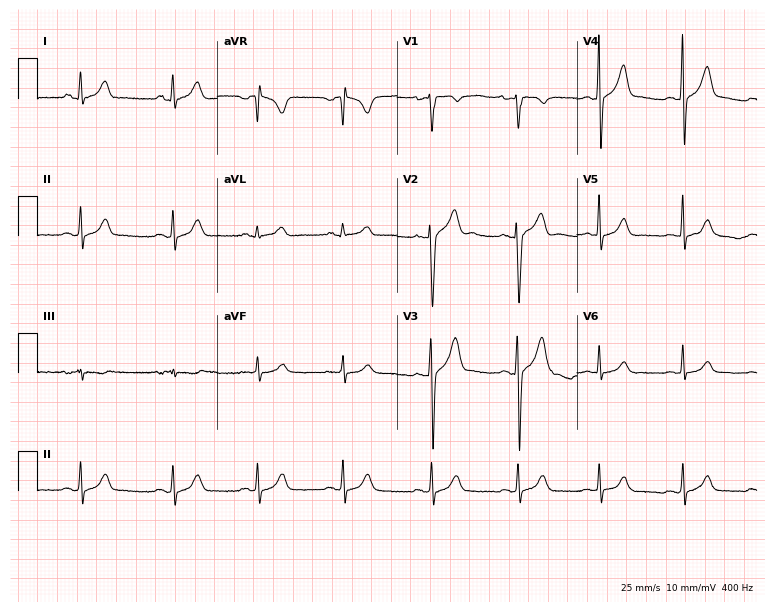
Standard 12-lead ECG recorded from a 17-year-old male patient (7.3-second recording at 400 Hz). Read as a normal ECG.